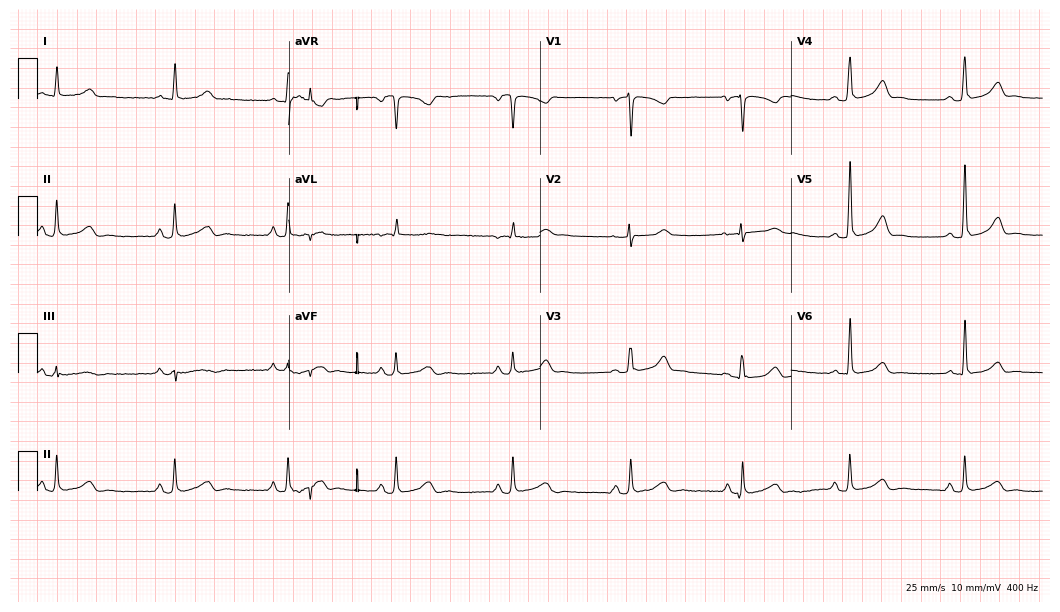
12-lead ECG from a woman, 54 years old (10.2-second recording at 400 Hz). No first-degree AV block, right bundle branch block (RBBB), left bundle branch block (LBBB), sinus bradycardia, atrial fibrillation (AF) or sinus tachycardia recorded for this tracing.